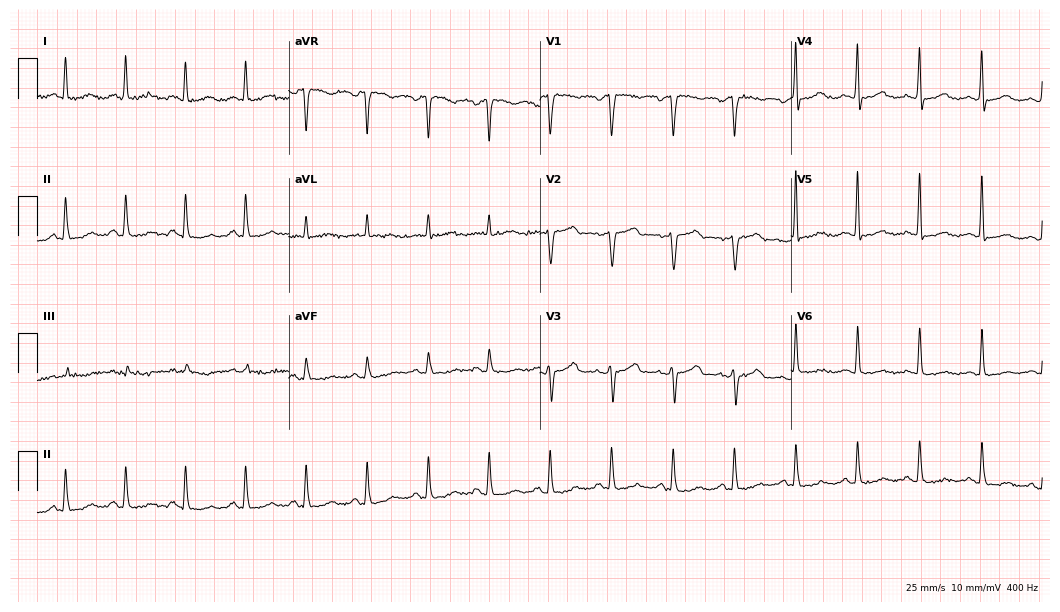
Standard 12-lead ECG recorded from a 68-year-old female. Read as a normal ECG.